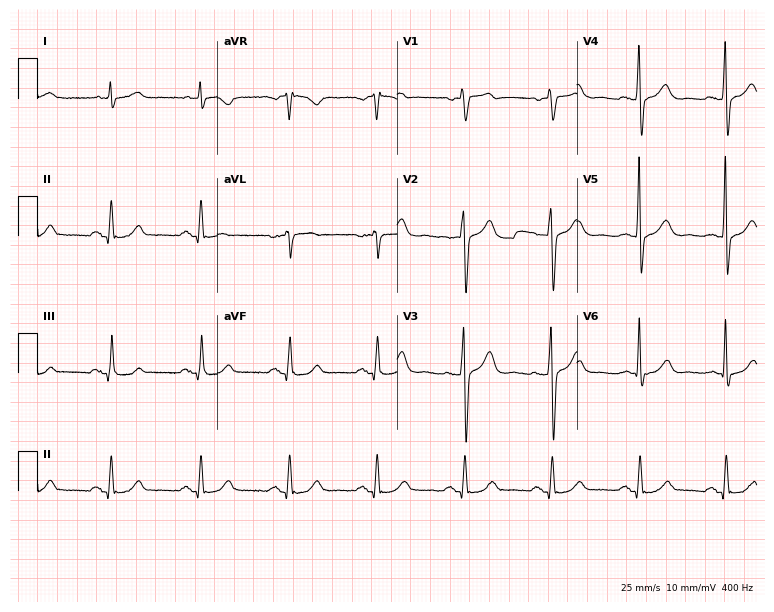
12-lead ECG from a 70-year-old male patient. Labelled as a normal ECG.